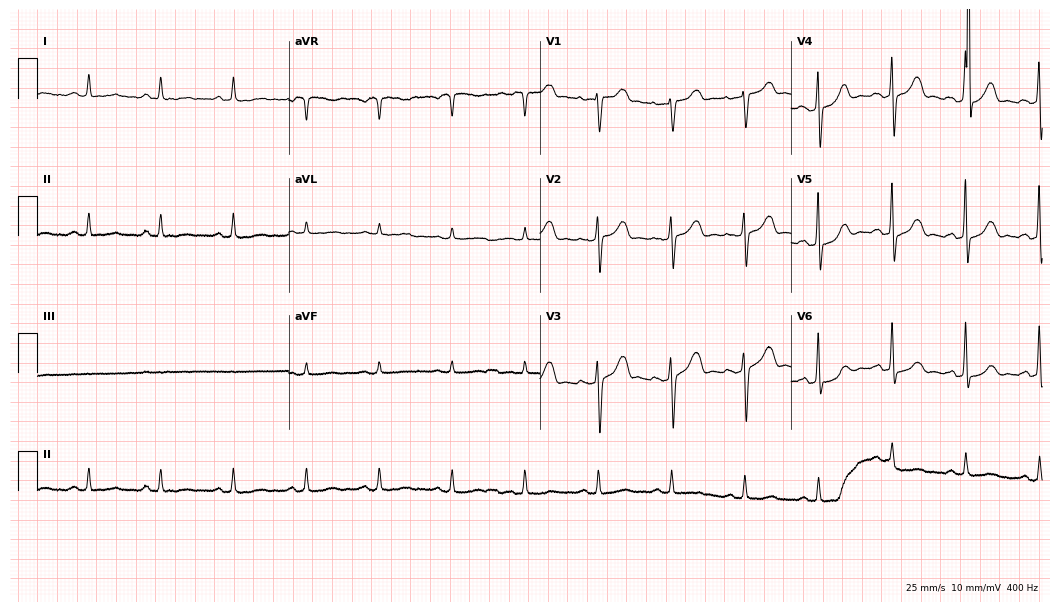
12-lead ECG from a woman, 73 years old. Labelled as a normal ECG.